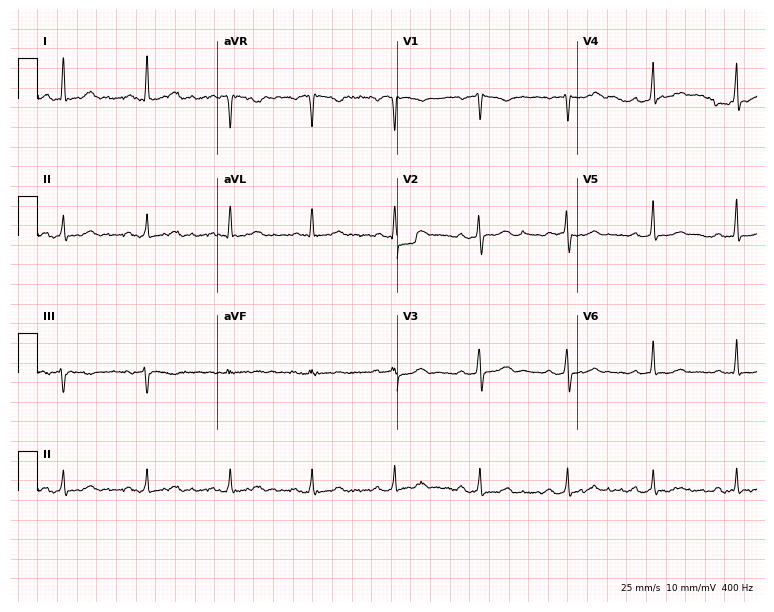
12-lead ECG from a female, 53 years old. Screened for six findings — first-degree AV block, right bundle branch block, left bundle branch block, sinus bradycardia, atrial fibrillation, sinus tachycardia — none is recorded. Findings outside these six are not listed.